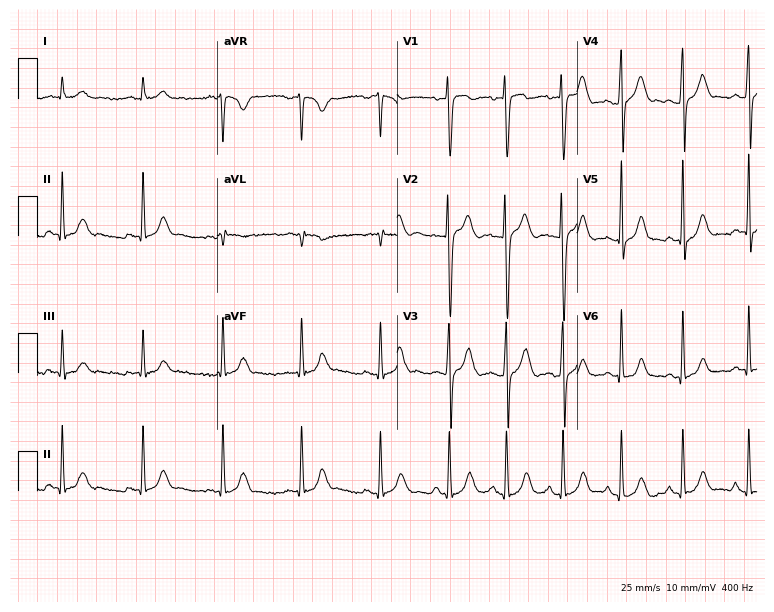
Resting 12-lead electrocardiogram. Patient: a 23-year-old male. Read as a normal ECG.